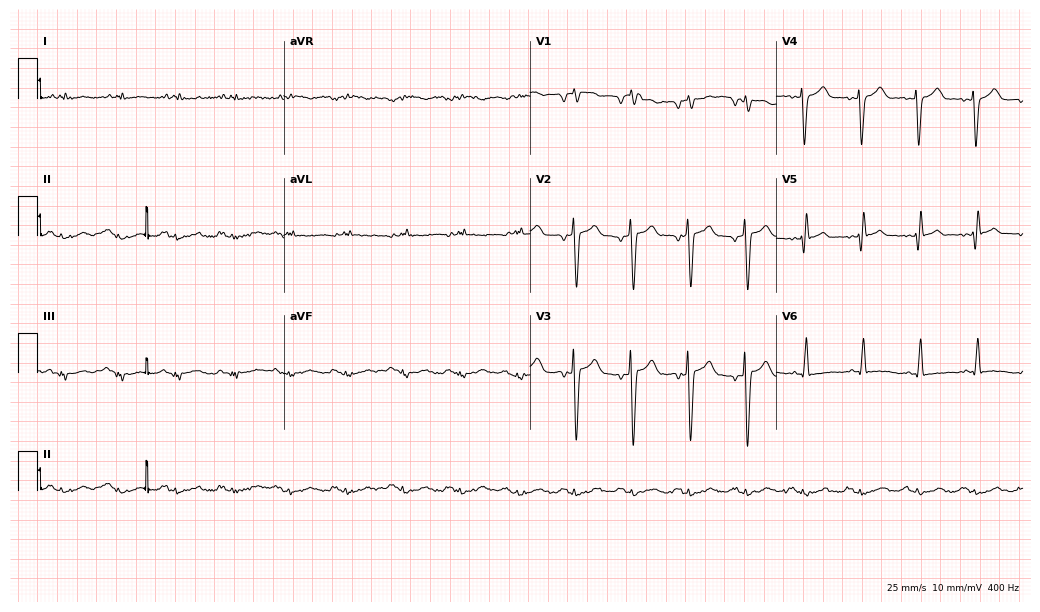
Standard 12-lead ECG recorded from a 47-year-old man (10-second recording at 400 Hz). None of these six findings is recorded: first-degree AV block, right bundle branch block (RBBB), left bundle branch block (LBBB), sinus bradycardia, atrial fibrillation (AF), sinus tachycardia.